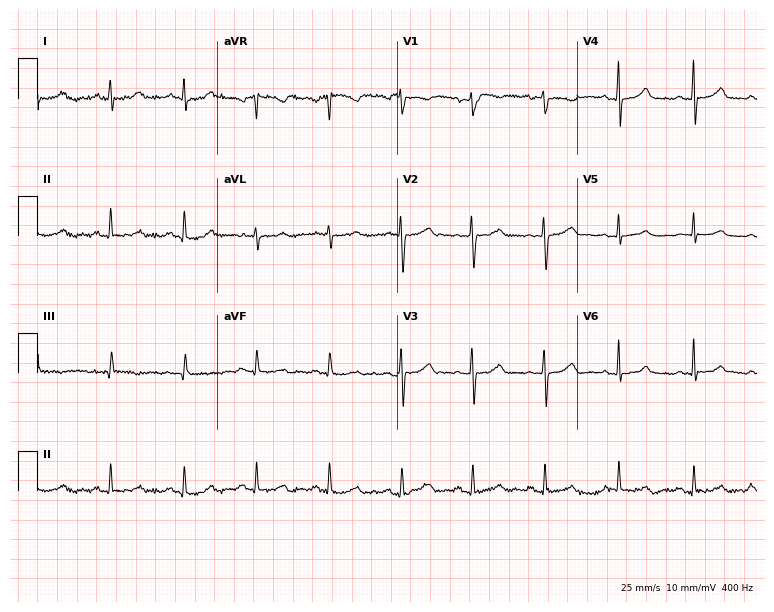
12-lead ECG (7.3-second recording at 400 Hz) from a 32-year-old female. Screened for six findings — first-degree AV block, right bundle branch block, left bundle branch block, sinus bradycardia, atrial fibrillation, sinus tachycardia — none is recorded.